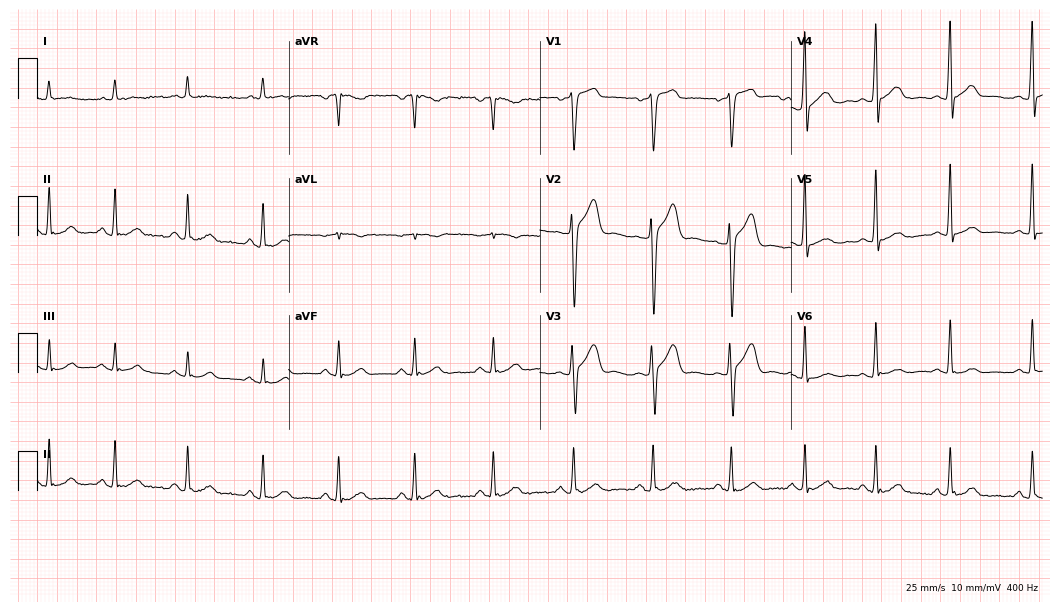
12-lead ECG from a 44-year-old male patient (10.2-second recording at 400 Hz). Recorded interpretation: within normal limits.